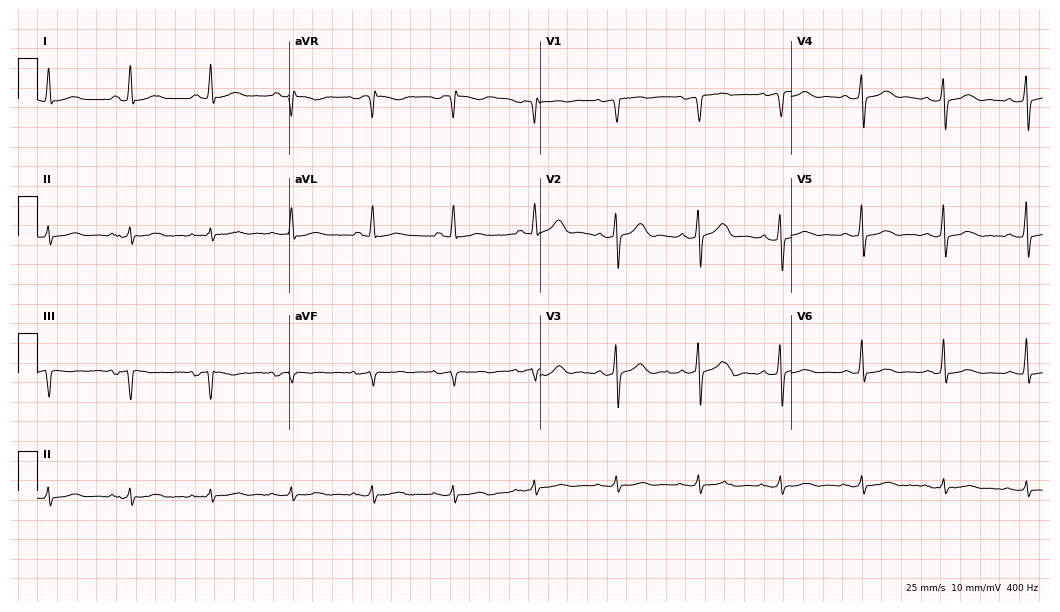
12-lead ECG from a male patient, 65 years old (10.2-second recording at 400 Hz). Recorded interpretation: within normal limits.